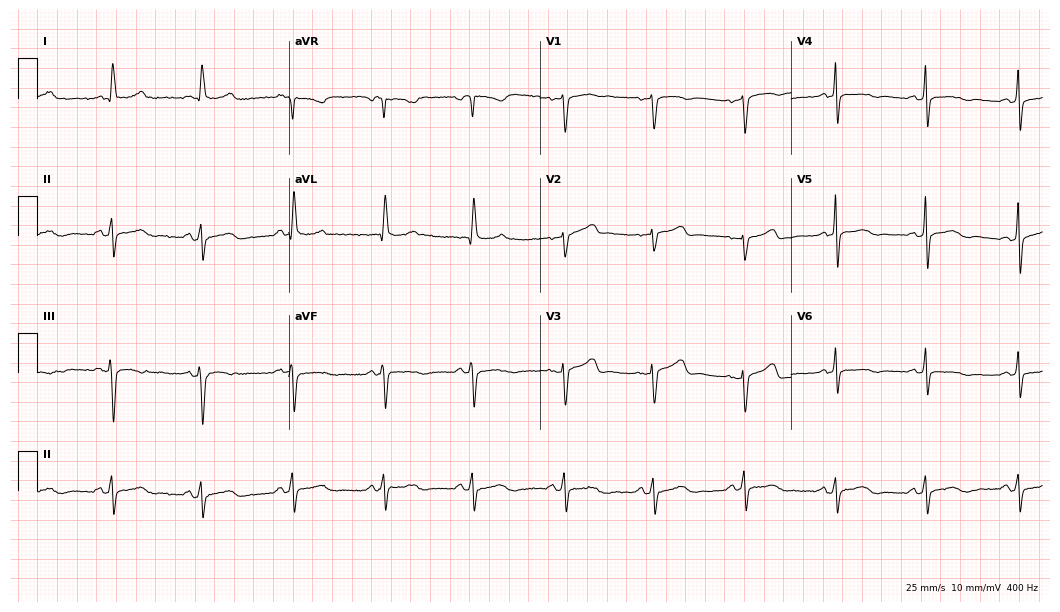
ECG — a female patient, 69 years old. Screened for six findings — first-degree AV block, right bundle branch block, left bundle branch block, sinus bradycardia, atrial fibrillation, sinus tachycardia — none is recorded. Only these six findings were labelled.